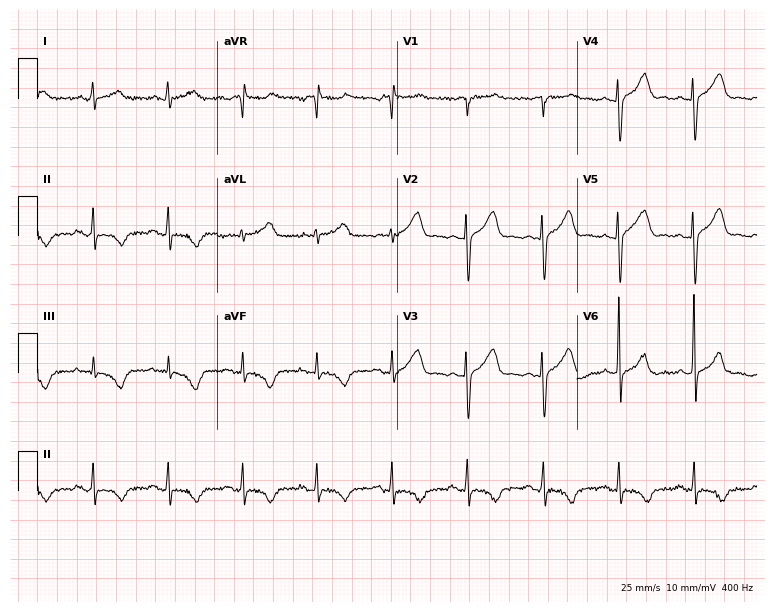
12-lead ECG from a female patient, 60 years old (7.3-second recording at 400 Hz). No first-degree AV block, right bundle branch block, left bundle branch block, sinus bradycardia, atrial fibrillation or sinus tachycardia recorded for this tracing.